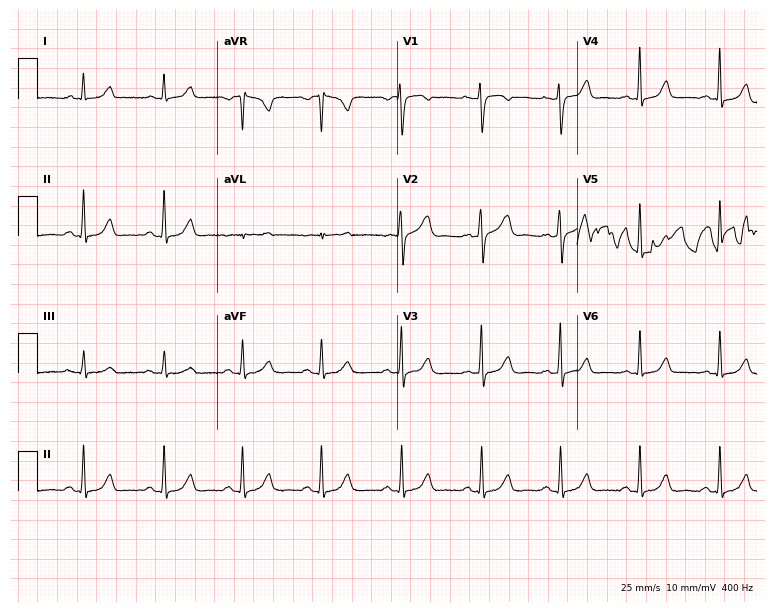
Standard 12-lead ECG recorded from a 48-year-old woman. None of these six findings is recorded: first-degree AV block, right bundle branch block (RBBB), left bundle branch block (LBBB), sinus bradycardia, atrial fibrillation (AF), sinus tachycardia. Findings outside these six are not listed.